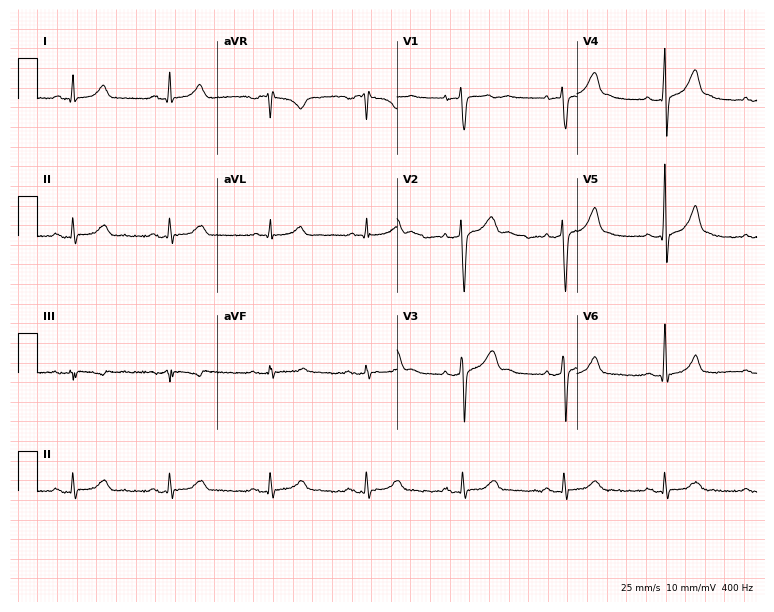
Electrocardiogram (7.3-second recording at 400 Hz), a 47-year-old male. Of the six screened findings (first-degree AV block, right bundle branch block (RBBB), left bundle branch block (LBBB), sinus bradycardia, atrial fibrillation (AF), sinus tachycardia), none is recorded. Findings outside these six are not listed.